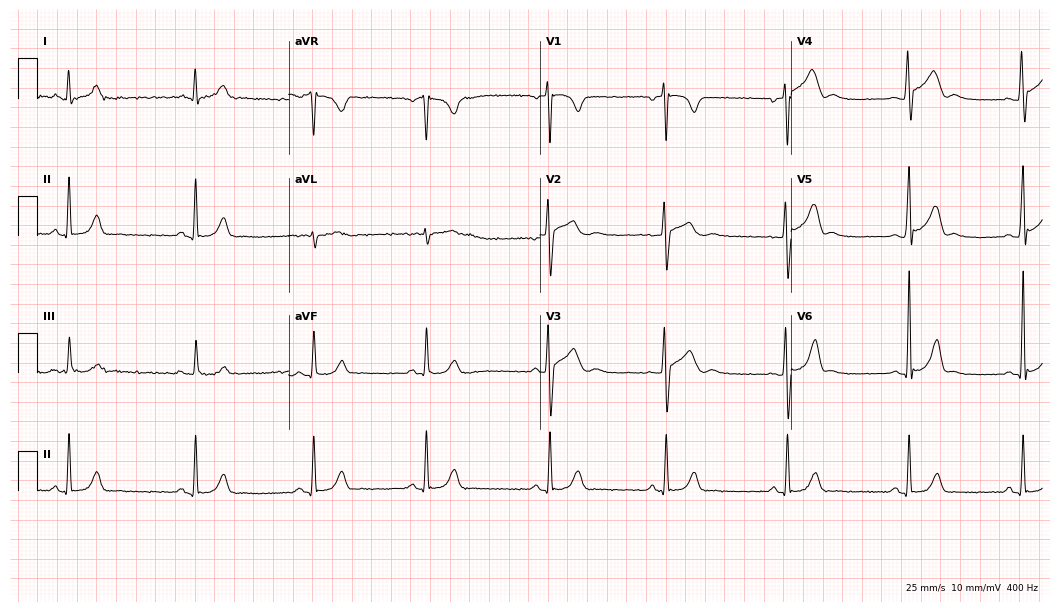
12-lead ECG from a 27-year-old male. Labelled as a normal ECG.